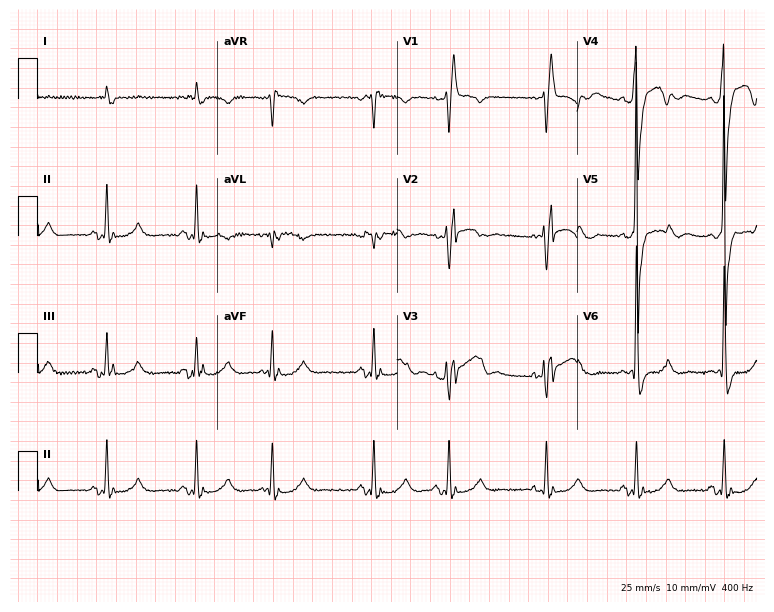
12-lead ECG from an 80-year-old man (7.3-second recording at 400 Hz). Shows right bundle branch block.